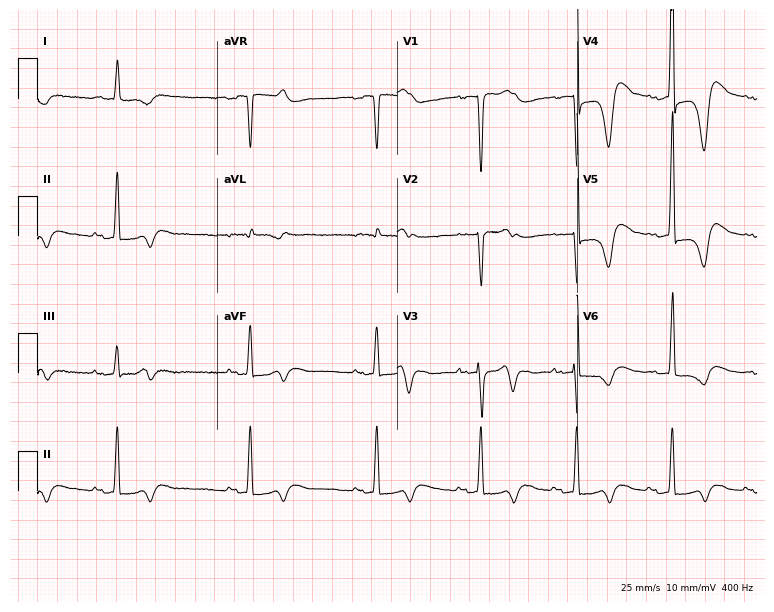
Standard 12-lead ECG recorded from an 86-year-old man. None of these six findings is recorded: first-degree AV block, right bundle branch block, left bundle branch block, sinus bradycardia, atrial fibrillation, sinus tachycardia.